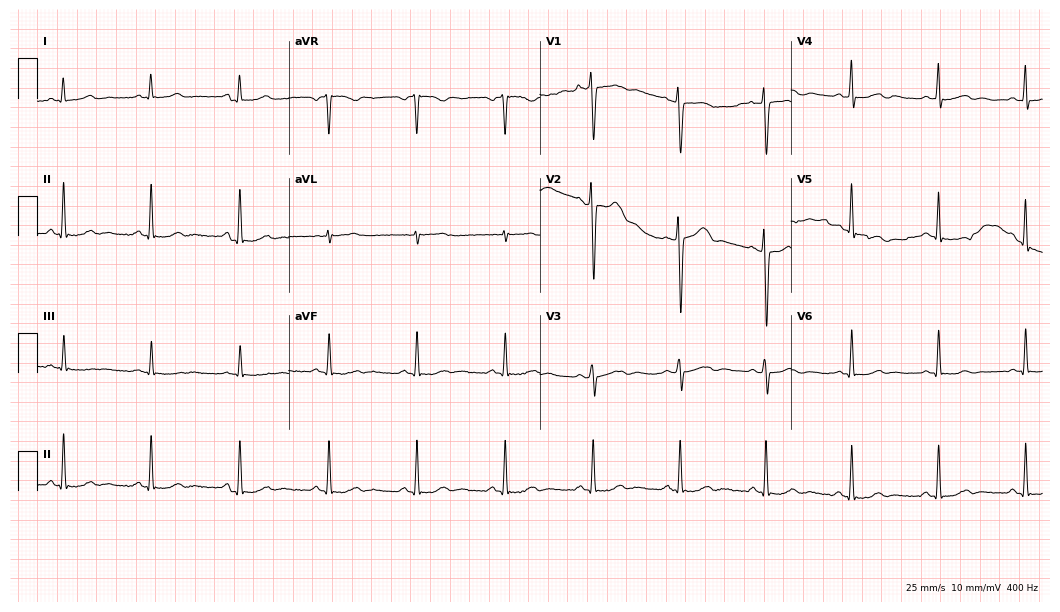
Standard 12-lead ECG recorded from a woman, 40 years old. Read as a normal ECG.